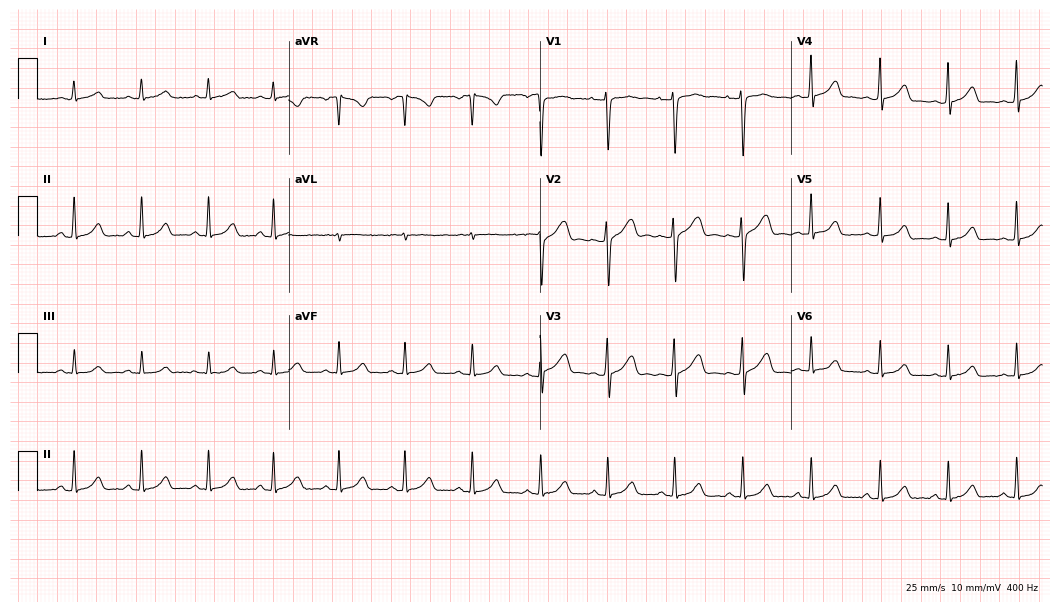
Resting 12-lead electrocardiogram. Patient: a 25-year-old woman. Read as a normal ECG.